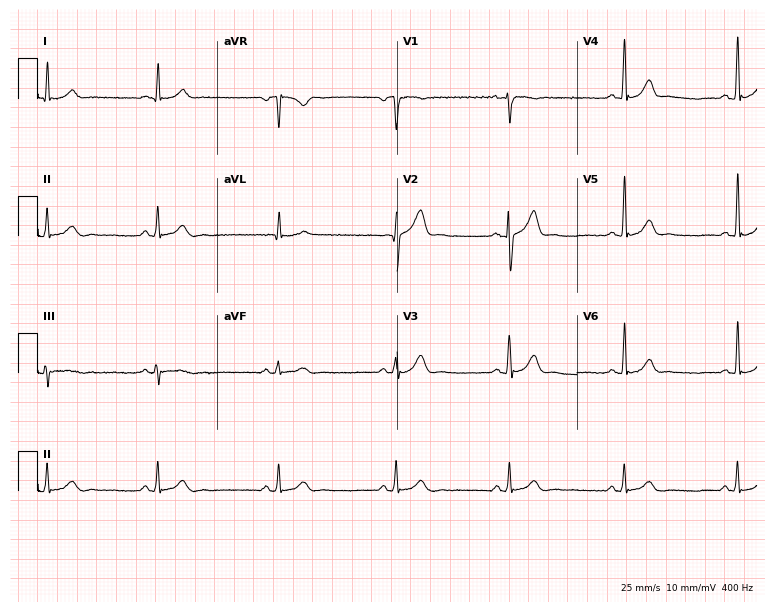
12-lead ECG (7.3-second recording at 400 Hz) from a male, 42 years old. Labelled as a normal ECG.